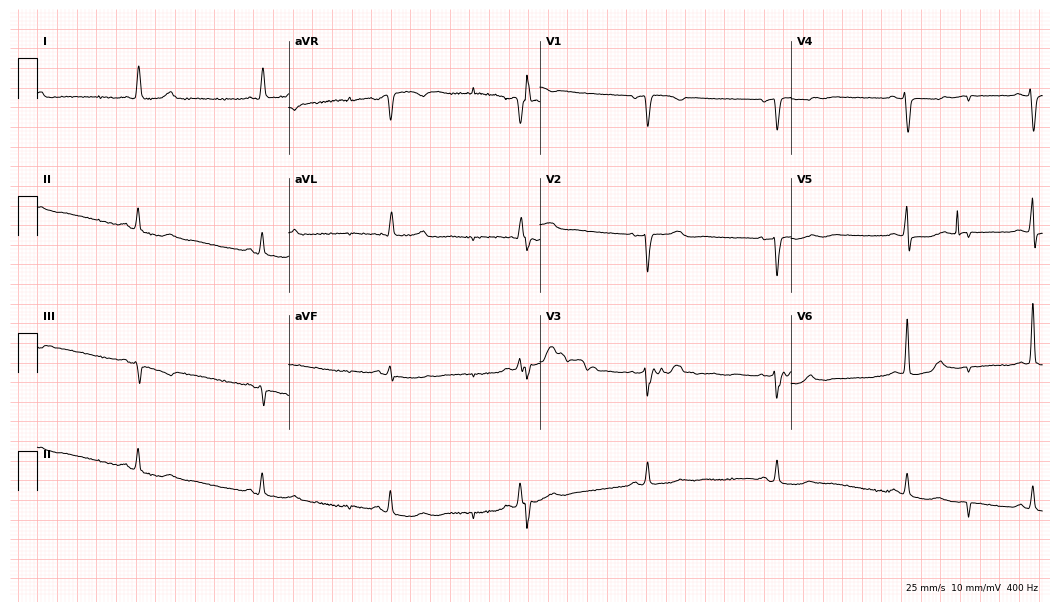
12-lead ECG (10.2-second recording at 400 Hz) from a 79-year-old female. Findings include sinus bradycardia (a sinus rate of 50 beats per minute or less).